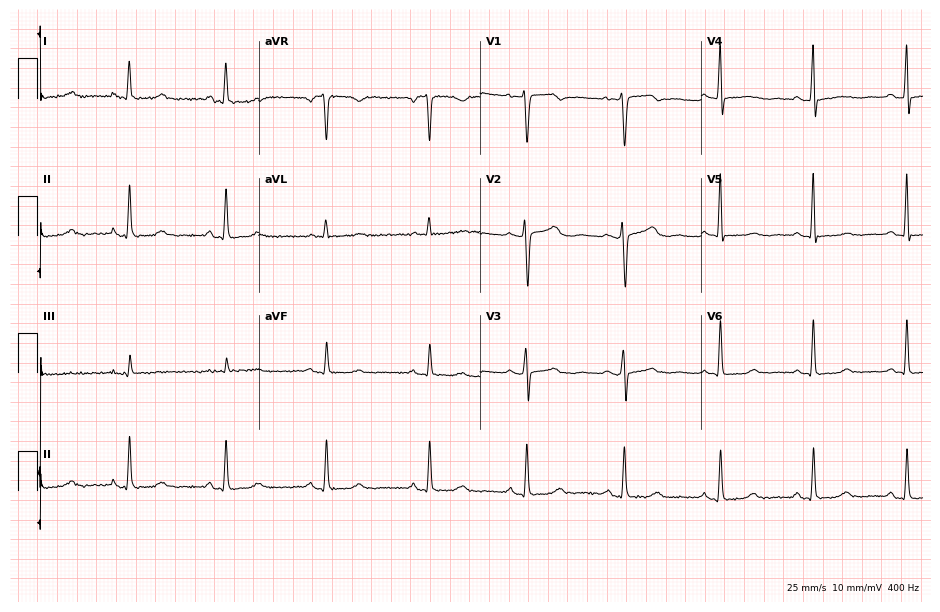
Standard 12-lead ECG recorded from a 48-year-old woman (9-second recording at 400 Hz). Read as a normal ECG.